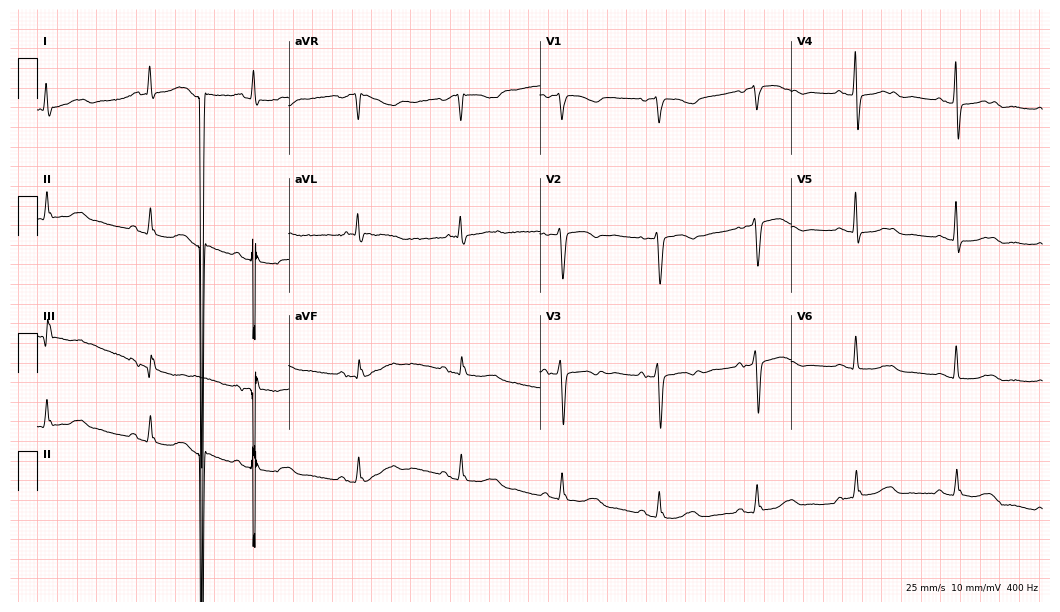
ECG — a woman, 72 years old. Screened for six findings — first-degree AV block, right bundle branch block (RBBB), left bundle branch block (LBBB), sinus bradycardia, atrial fibrillation (AF), sinus tachycardia — none is recorded. Findings outside these six are not listed.